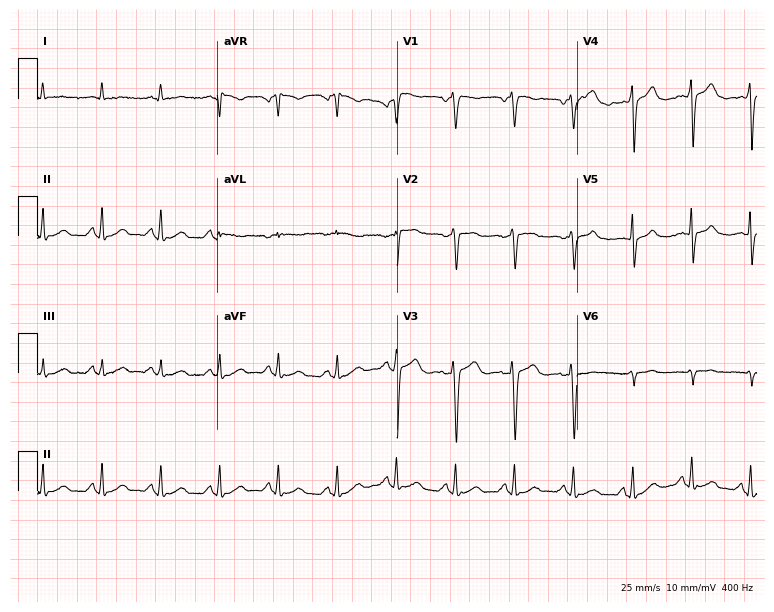
ECG (7.3-second recording at 400 Hz) — a male, 31 years old. Labelled as a normal ECG.